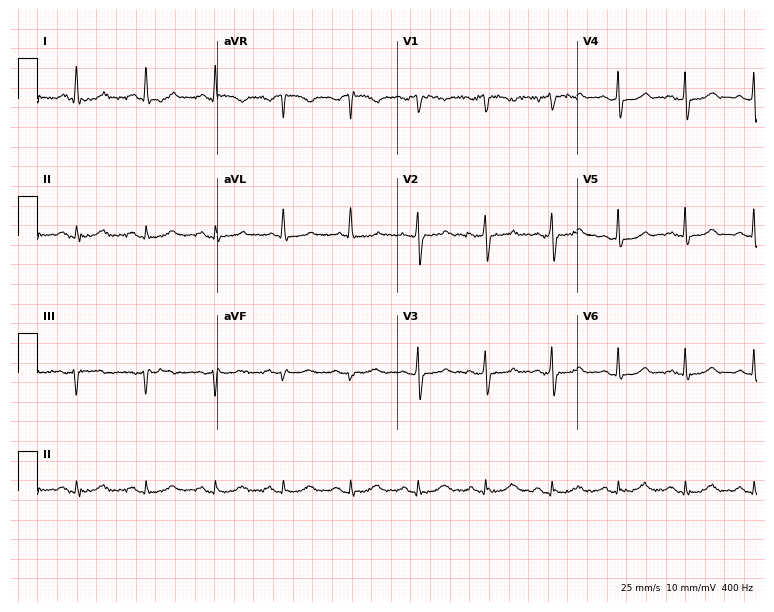
Resting 12-lead electrocardiogram (7.3-second recording at 400 Hz). Patient: a 52-year-old man. None of these six findings is recorded: first-degree AV block, right bundle branch block, left bundle branch block, sinus bradycardia, atrial fibrillation, sinus tachycardia. Only these six findings were labelled.